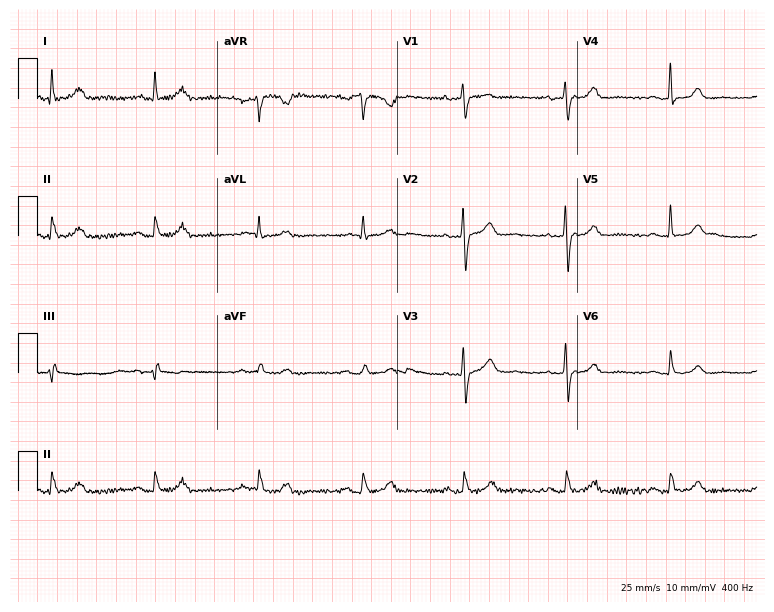
ECG (7.3-second recording at 400 Hz) — a male patient, 50 years old. Labelled as a normal ECG.